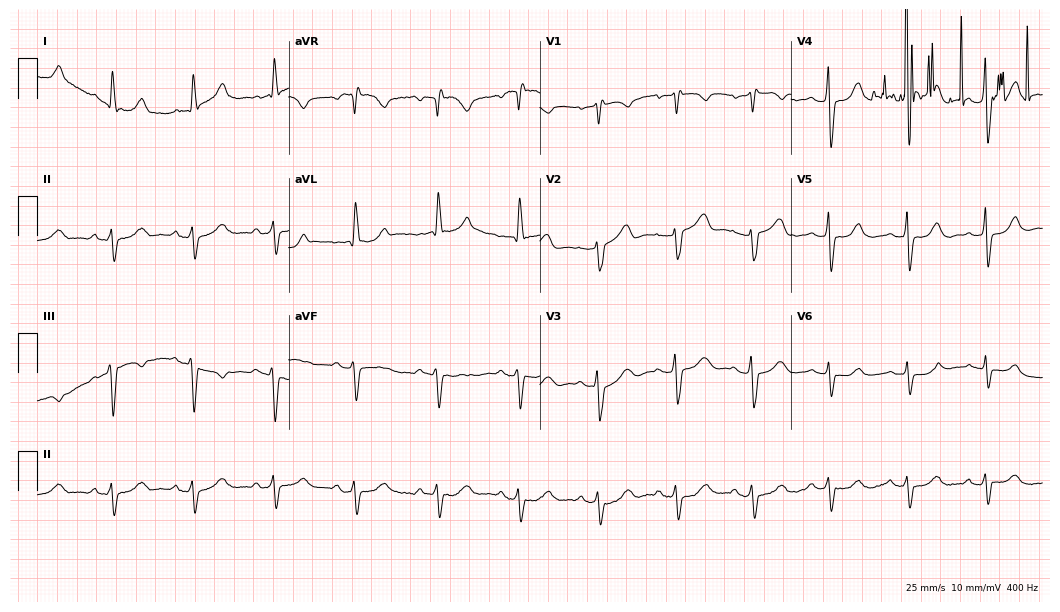
Resting 12-lead electrocardiogram (10.2-second recording at 400 Hz). Patient: a female, 71 years old. None of these six findings is recorded: first-degree AV block, right bundle branch block, left bundle branch block, sinus bradycardia, atrial fibrillation, sinus tachycardia. Only these six findings were labelled.